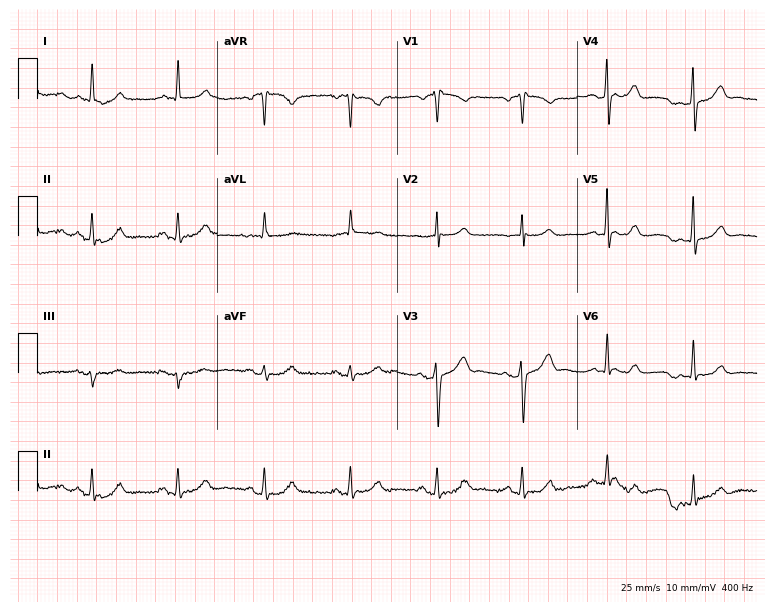
12-lead ECG from a 72-year-old female patient. No first-degree AV block, right bundle branch block (RBBB), left bundle branch block (LBBB), sinus bradycardia, atrial fibrillation (AF) or sinus tachycardia recorded for this tracing. Only these six findings were labelled.